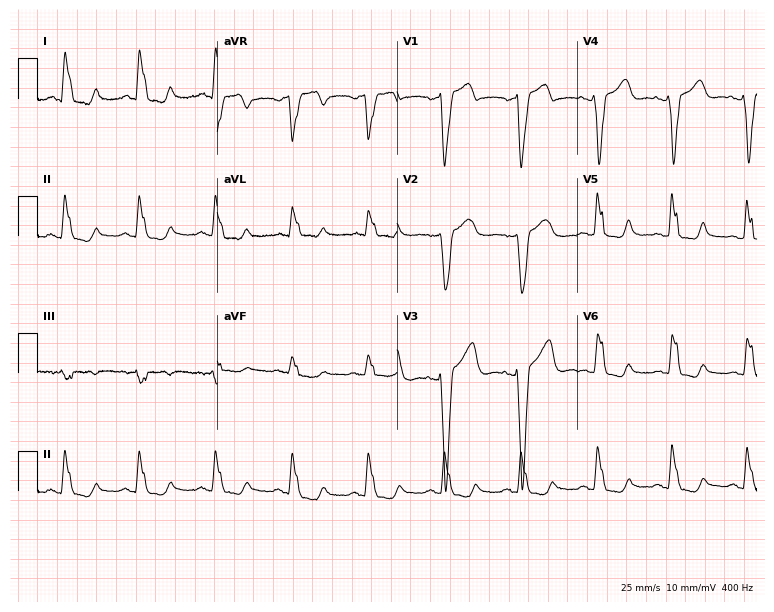
Resting 12-lead electrocardiogram (7.3-second recording at 400 Hz). Patient: a woman, 20 years old. The tracing shows left bundle branch block.